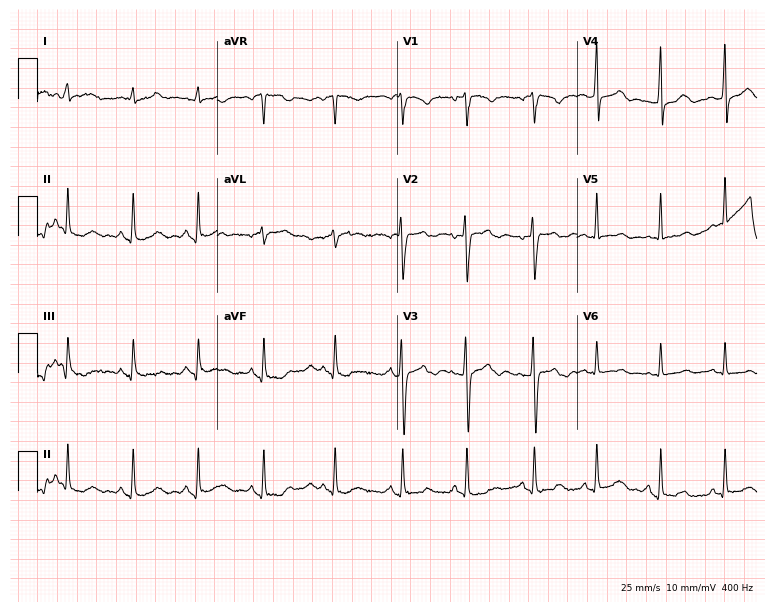
ECG (7.3-second recording at 400 Hz) — a female, 20 years old. Screened for six findings — first-degree AV block, right bundle branch block (RBBB), left bundle branch block (LBBB), sinus bradycardia, atrial fibrillation (AF), sinus tachycardia — none is recorded.